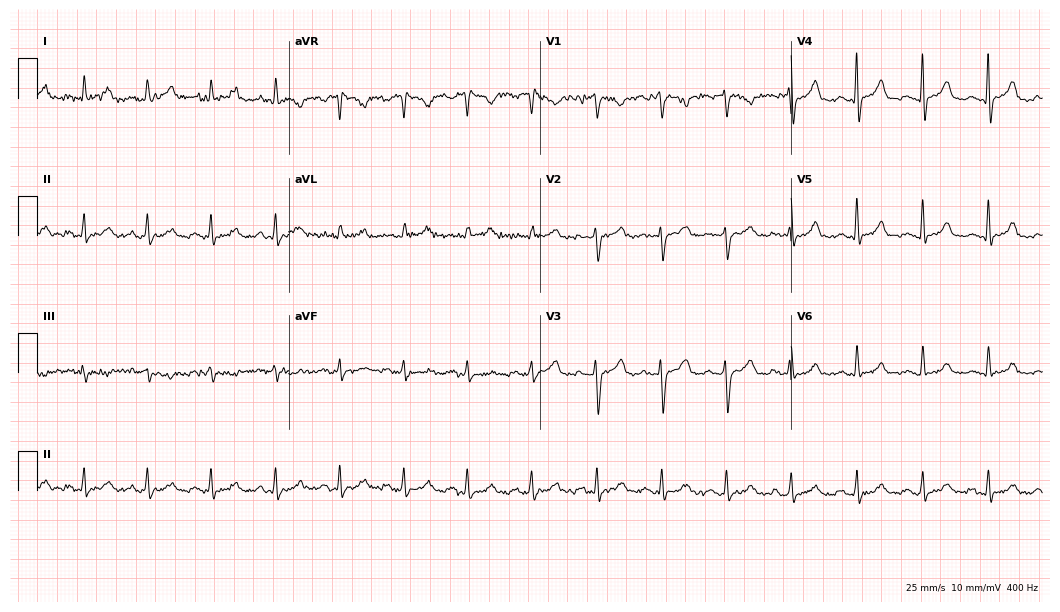
12-lead ECG from a 58-year-old woman. Labelled as a normal ECG.